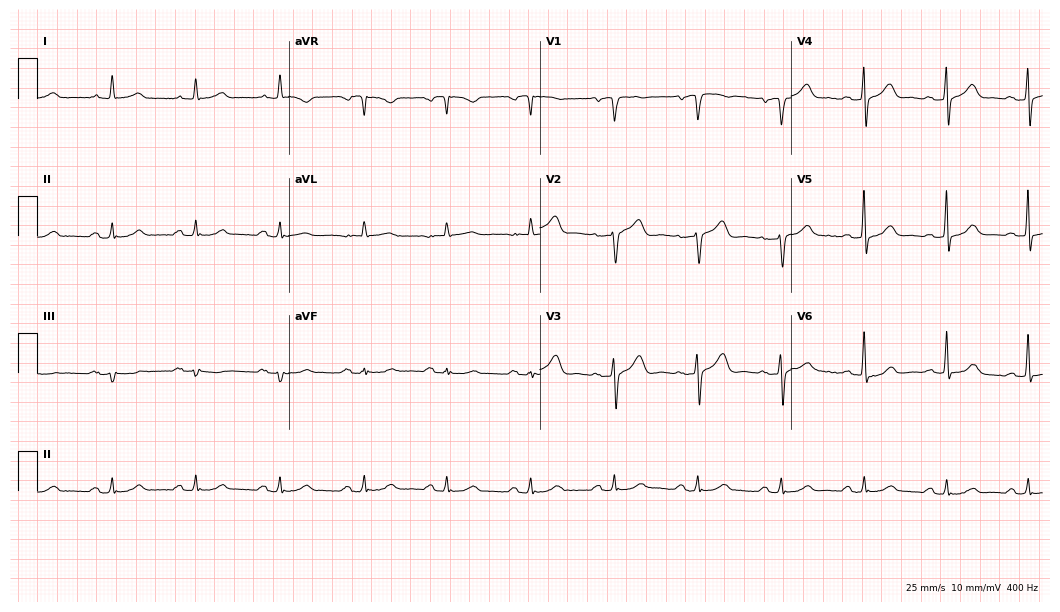
Resting 12-lead electrocardiogram (10.2-second recording at 400 Hz). Patient: a 64-year-old male. Read as a normal ECG.